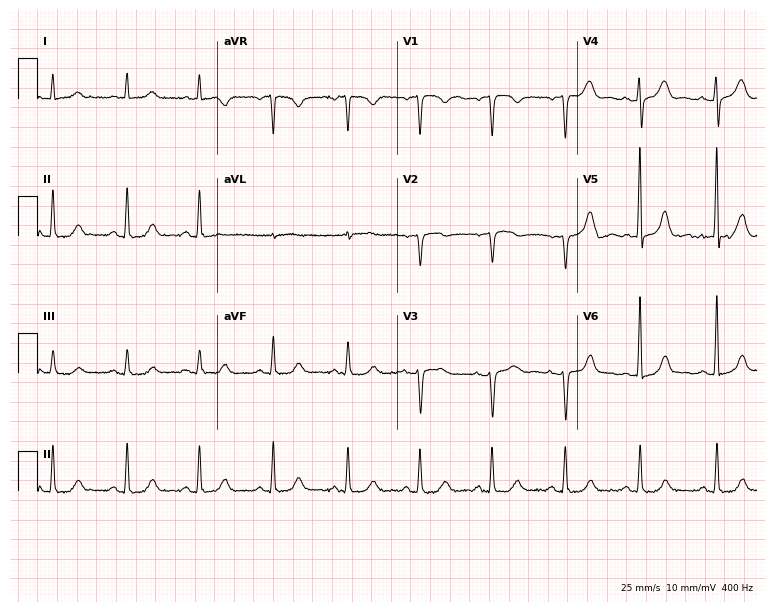
12-lead ECG from an 80-year-old female patient. Screened for six findings — first-degree AV block, right bundle branch block, left bundle branch block, sinus bradycardia, atrial fibrillation, sinus tachycardia — none is recorded. Only these six findings were labelled.